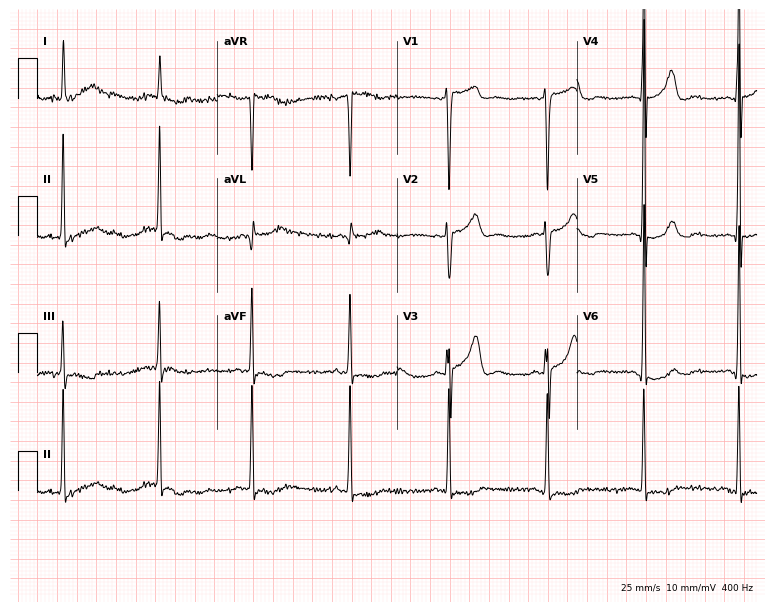
Standard 12-lead ECG recorded from a male patient, 61 years old (7.3-second recording at 400 Hz). None of these six findings is recorded: first-degree AV block, right bundle branch block, left bundle branch block, sinus bradycardia, atrial fibrillation, sinus tachycardia.